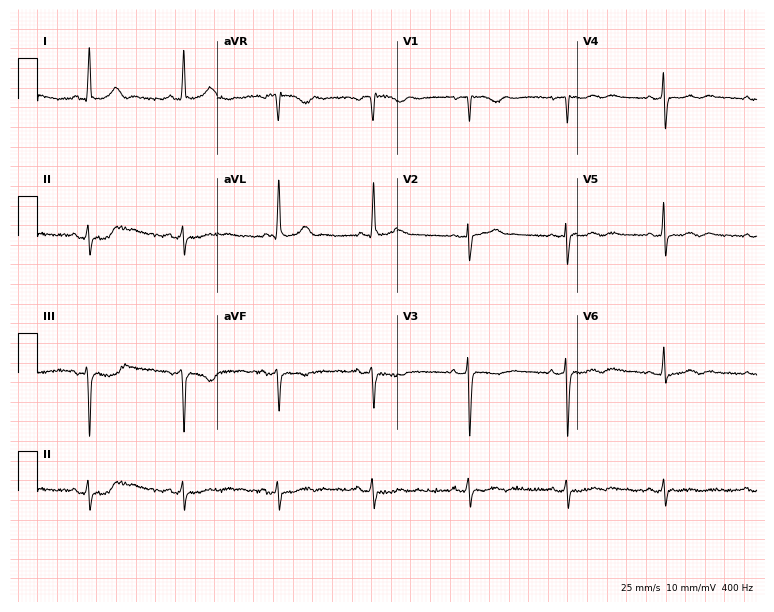
ECG — a 71-year-old woman. Screened for six findings — first-degree AV block, right bundle branch block (RBBB), left bundle branch block (LBBB), sinus bradycardia, atrial fibrillation (AF), sinus tachycardia — none is recorded.